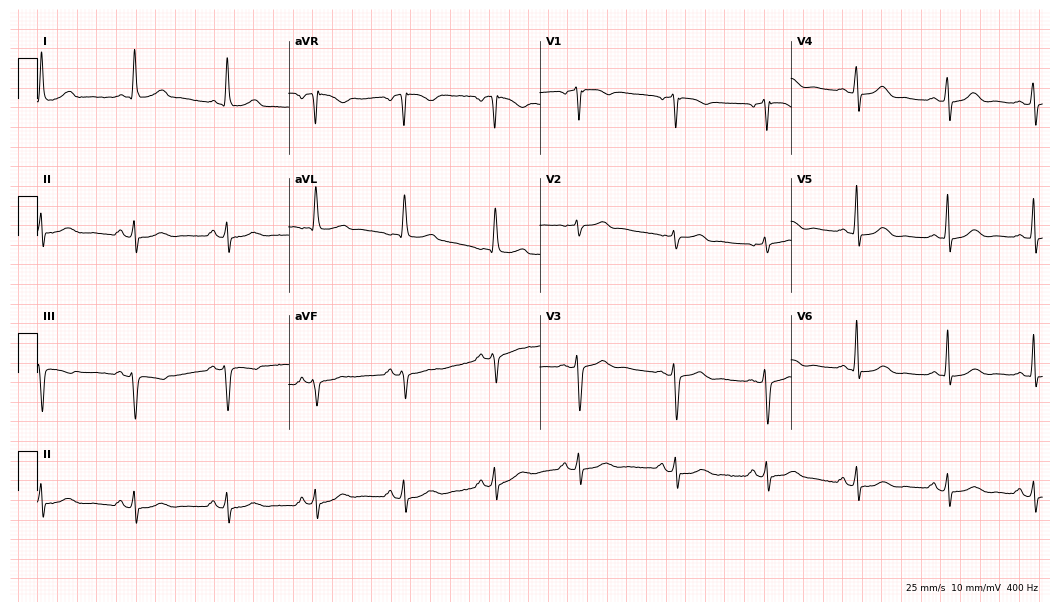
ECG — a woman, 80 years old. Labelled as a normal ECG.